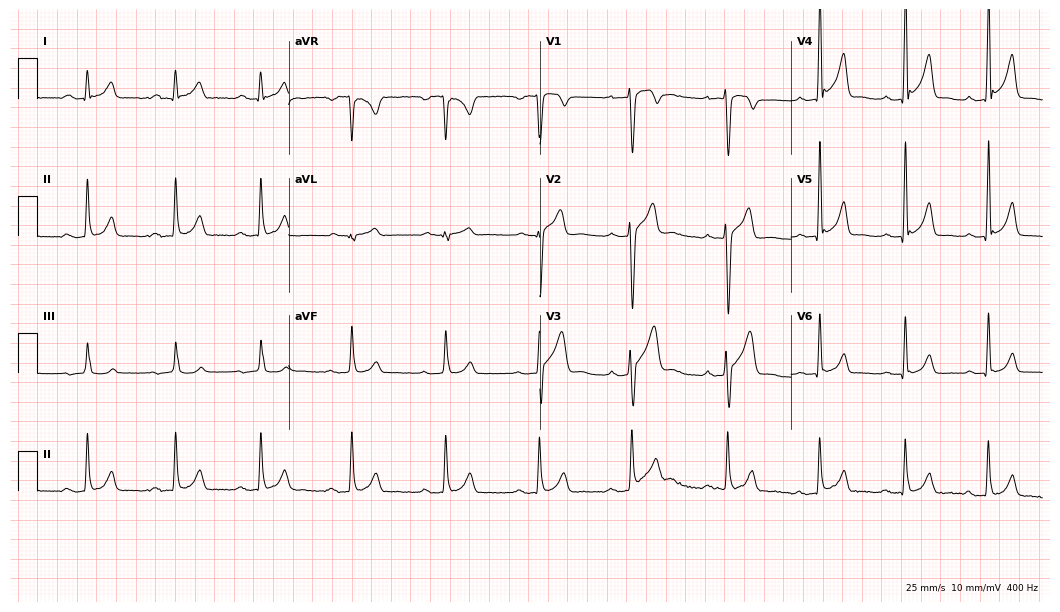
12-lead ECG from a man, 20 years old. Labelled as a normal ECG.